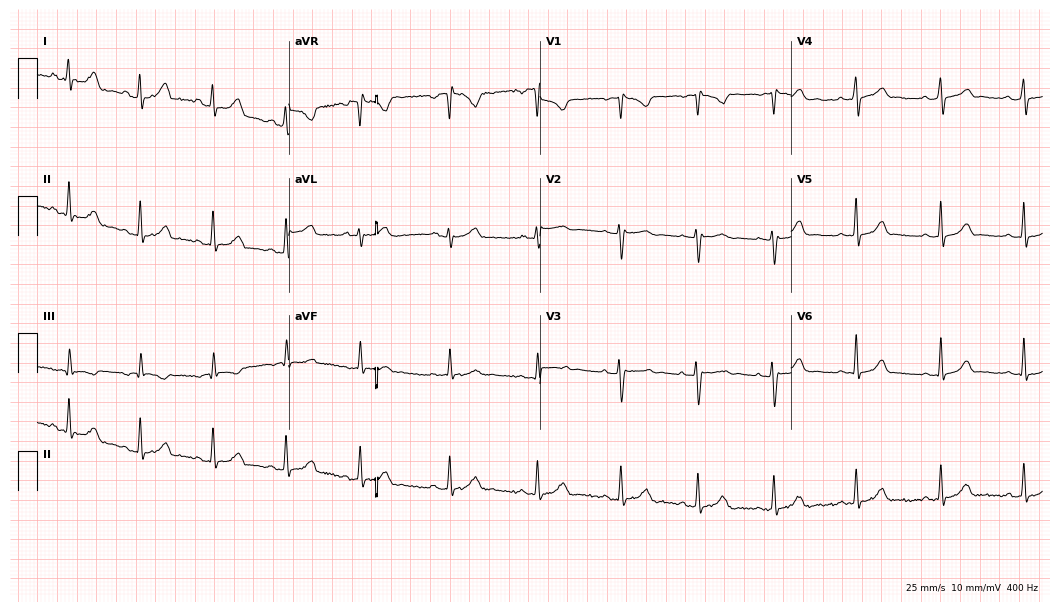
ECG (10.2-second recording at 400 Hz) — a female patient, 23 years old. Labelled as a normal ECG.